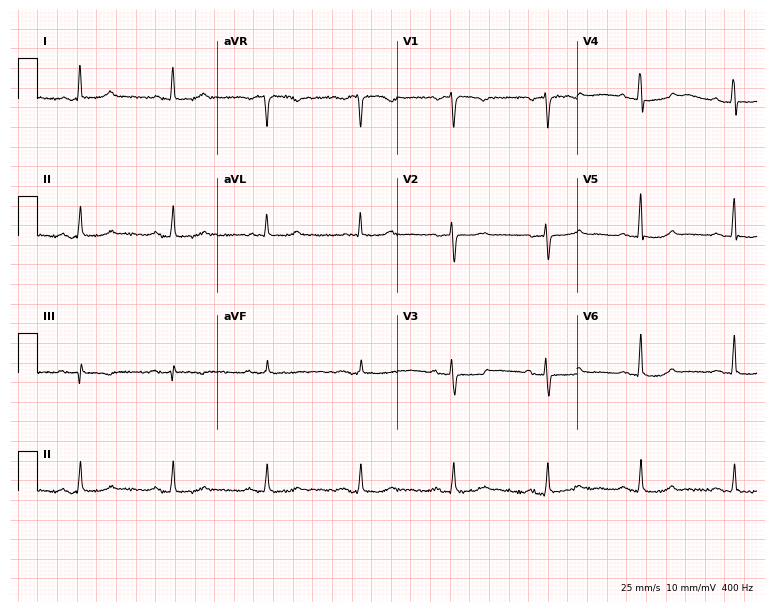
Resting 12-lead electrocardiogram. Patient: a woman, 64 years old. Read as a normal ECG.